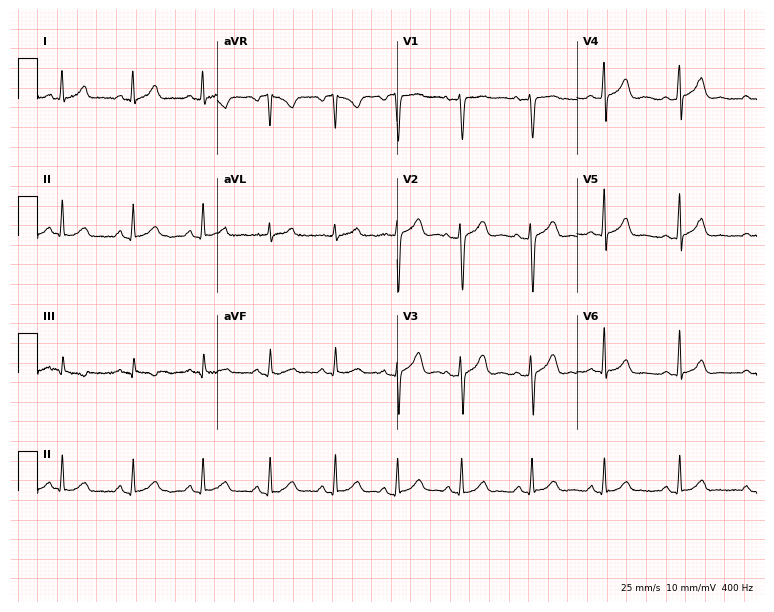
Standard 12-lead ECG recorded from a woman, 37 years old. Read as a normal ECG.